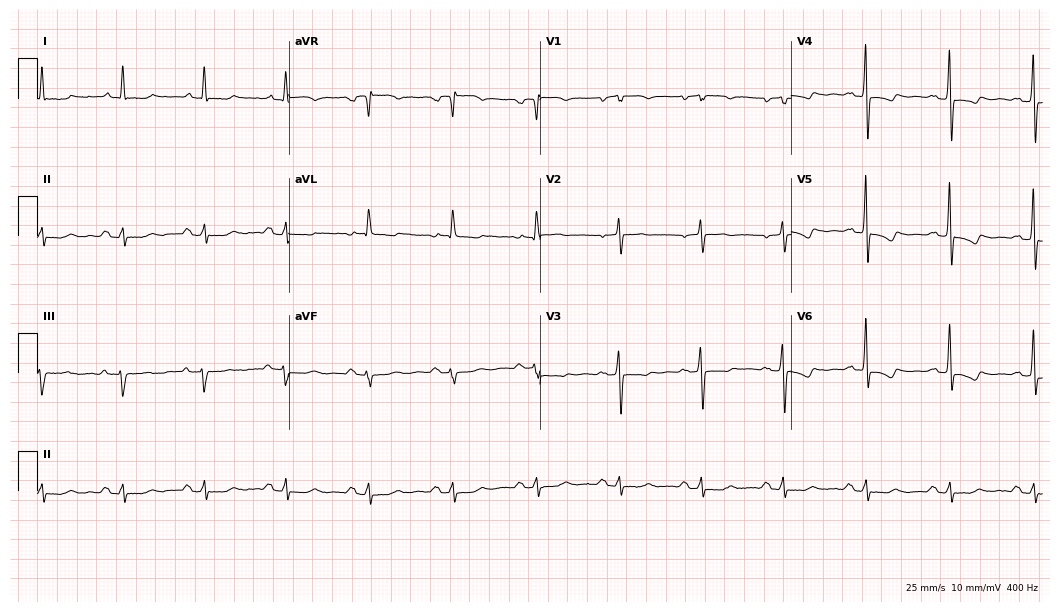
Standard 12-lead ECG recorded from a 67-year-old woman. None of these six findings is recorded: first-degree AV block, right bundle branch block, left bundle branch block, sinus bradycardia, atrial fibrillation, sinus tachycardia. Only these six findings were labelled.